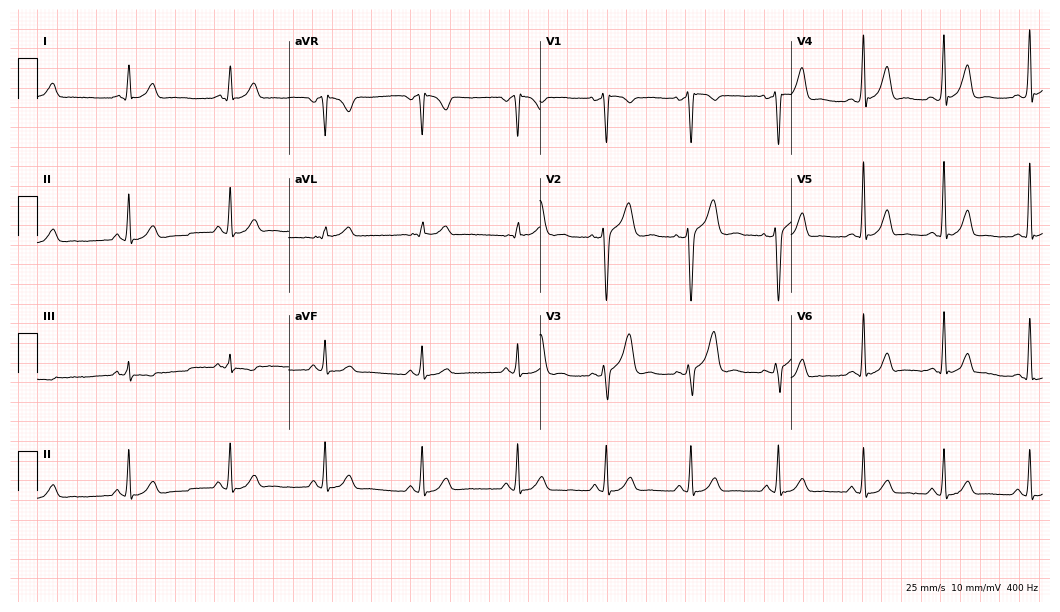
Resting 12-lead electrocardiogram. Patient: a man, 32 years old. Read as a normal ECG.